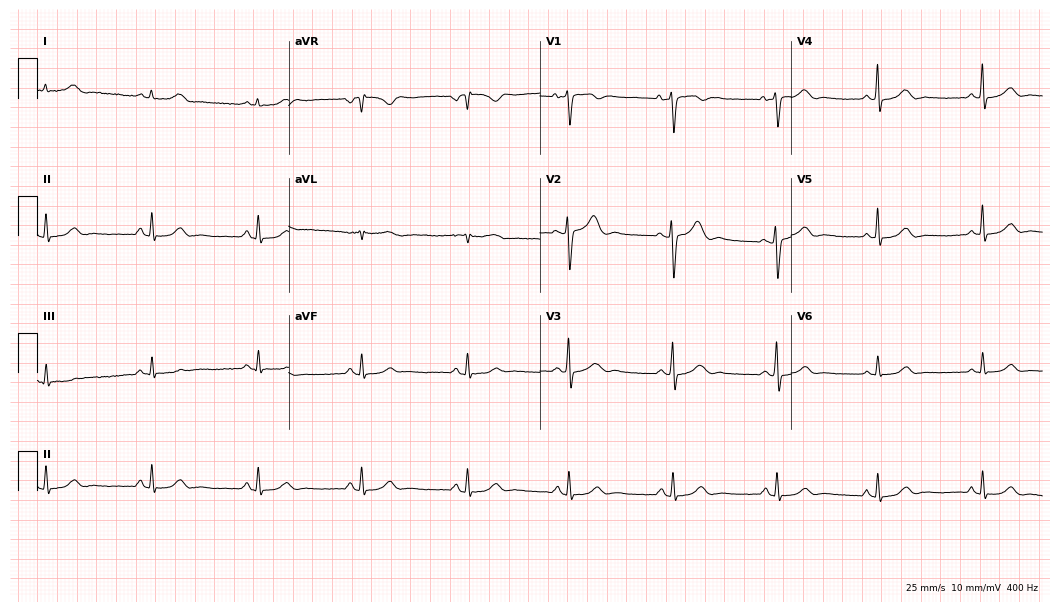
12-lead ECG from a female, 30 years old. Screened for six findings — first-degree AV block, right bundle branch block, left bundle branch block, sinus bradycardia, atrial fibrillation, sinus tachycardia — none is recorded.